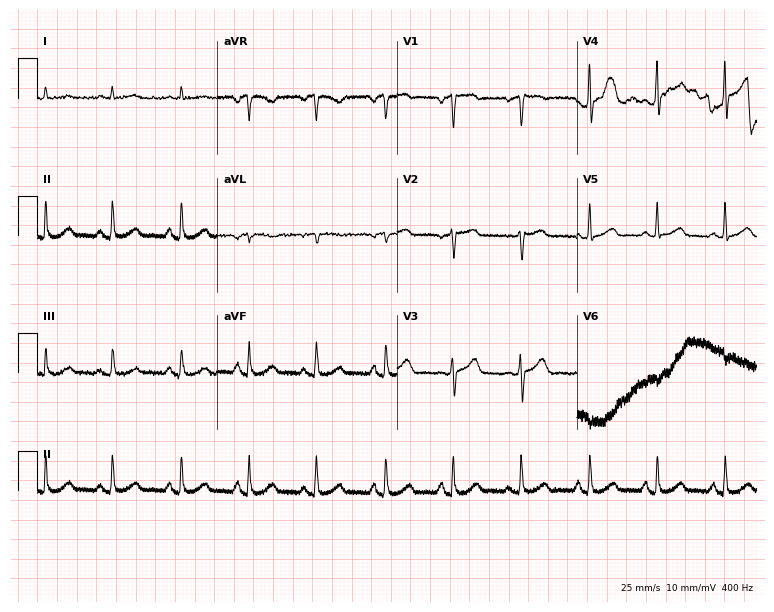
Electrocardiogram (7.3-second recording at 400 Hz), a 72-year-old woman. Overall reading on record: normal ECG.